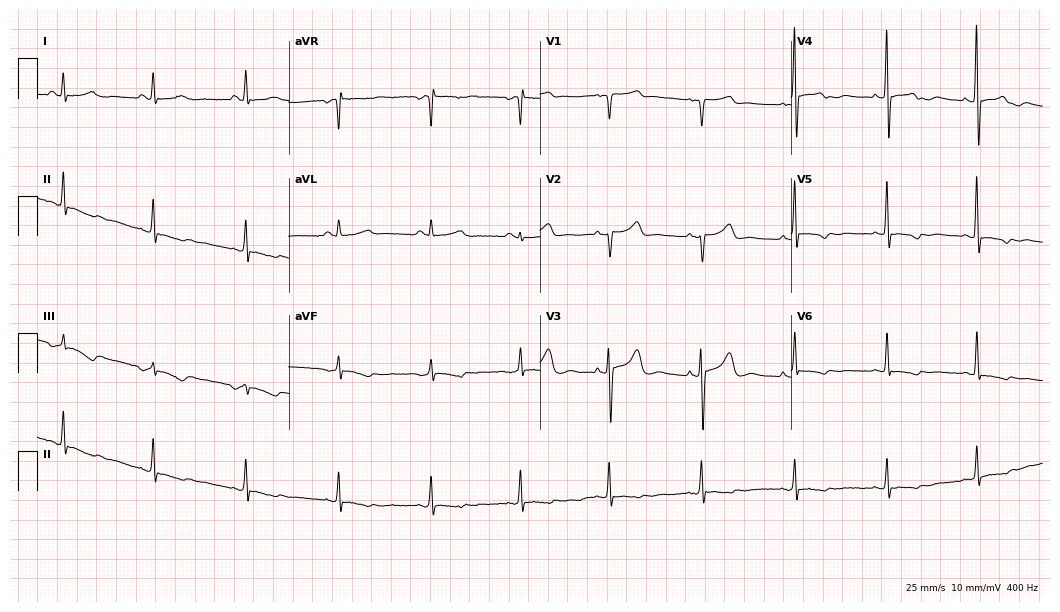
12-lead ECG from a female, 41 years old (10.2-second recording at 400 Hz). No first-degree AV block, right bundle branch block, left bundle branch block, sinus bradycardia, atrial fibrillation or sinus tachycardia recorded for this tracing. Findings outside these six are not listed.